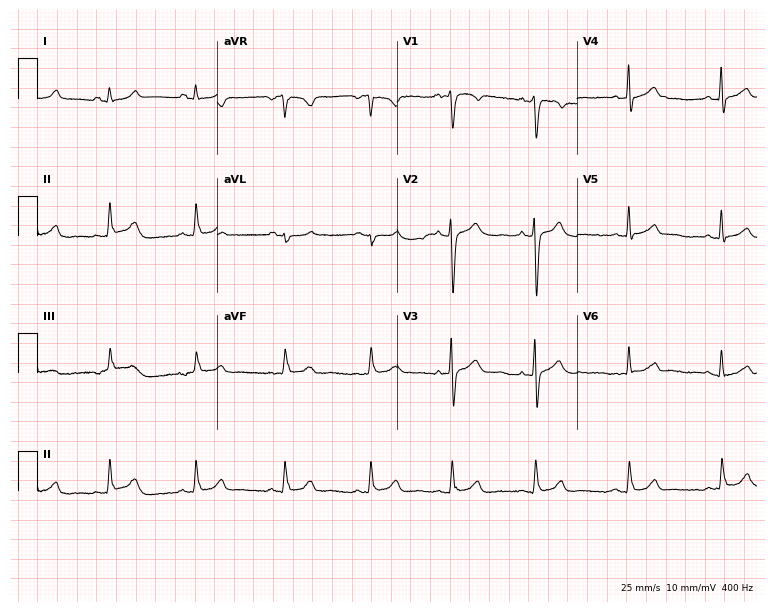
Standard 12-lead ECG recorded from a 21-year-old female (7.3-second recording at 400 Hz). None of these six findings is recorded: first-degree AV block, right bundle branch block, left bundle branch block, sinus bradycardia, atrial fibrillation, sinus tachycardia.